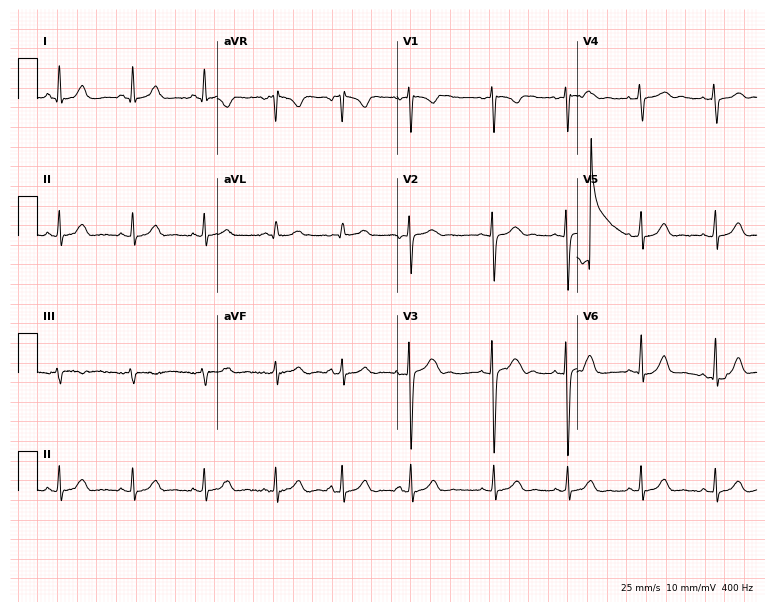
ECG — a female, 24 years old. Labelled as a normal ECG.